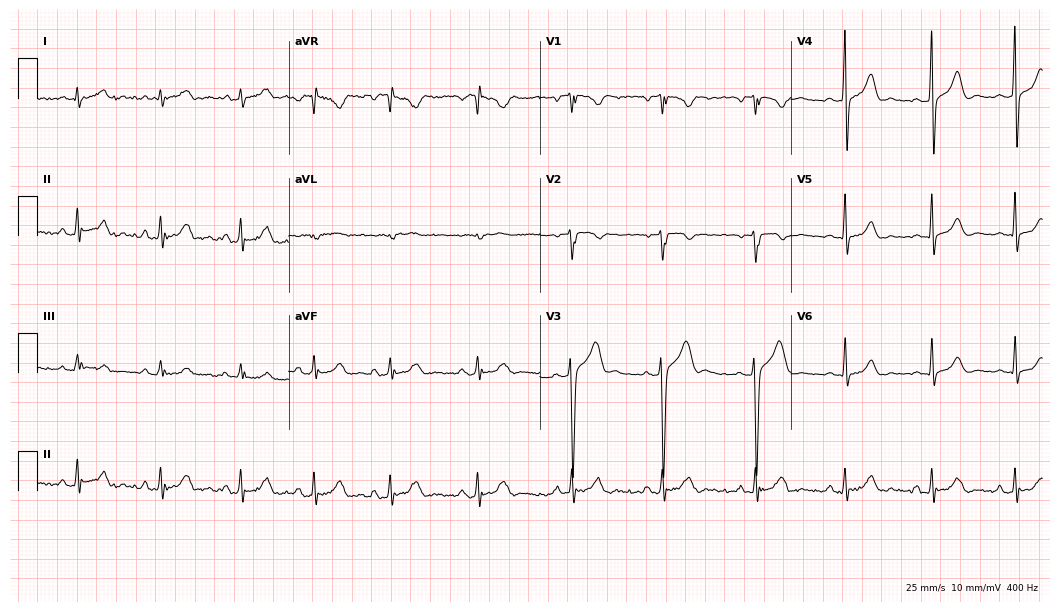
12-lead ECG from a man, 24 years old (10.2-second recording at 400 Hz). Recorded interpretation: within normal limits.